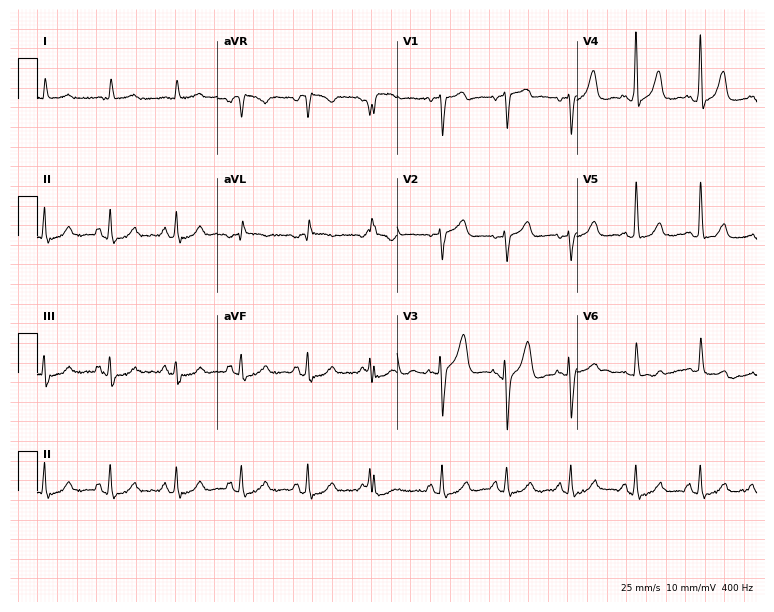
12-lead ECG from a female patient, 80 years old. Screened for six findings — first-degree AV block, right bundle branch block, left bundle branch block, sinus bradycardia, atrial fibrillation, sinus tachycardia — none is recorded.